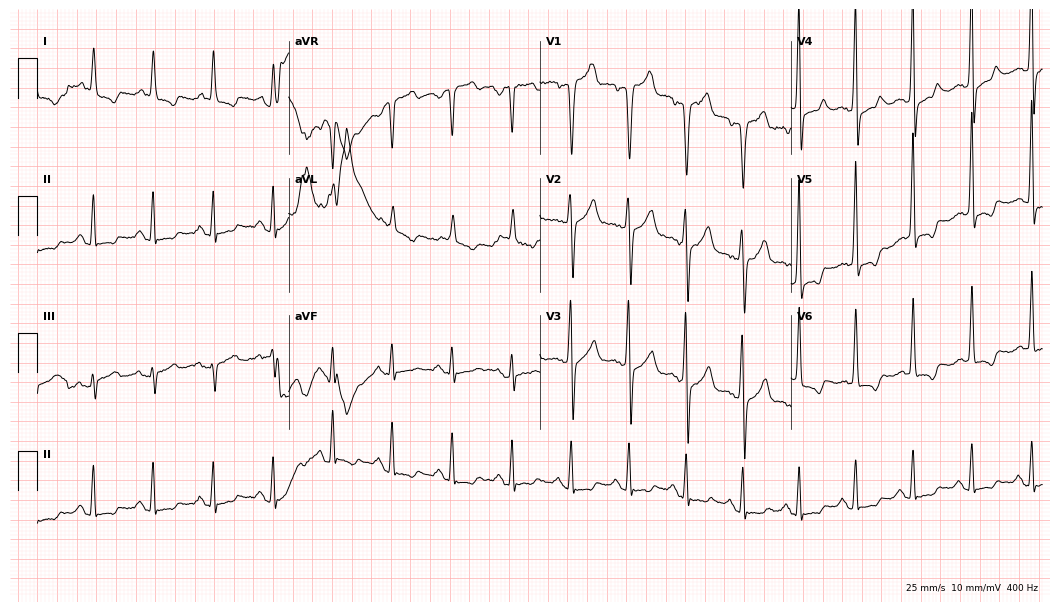
Standard 12-lead ECG recorded from a 37-year-old male. None of these six findings is recorded: first-degree AV block, right bundle branch block (RBBB), left bundle branch block (LBBB), sinus bradycardia, atrial fibrillation (AF), sinus tachycardia.